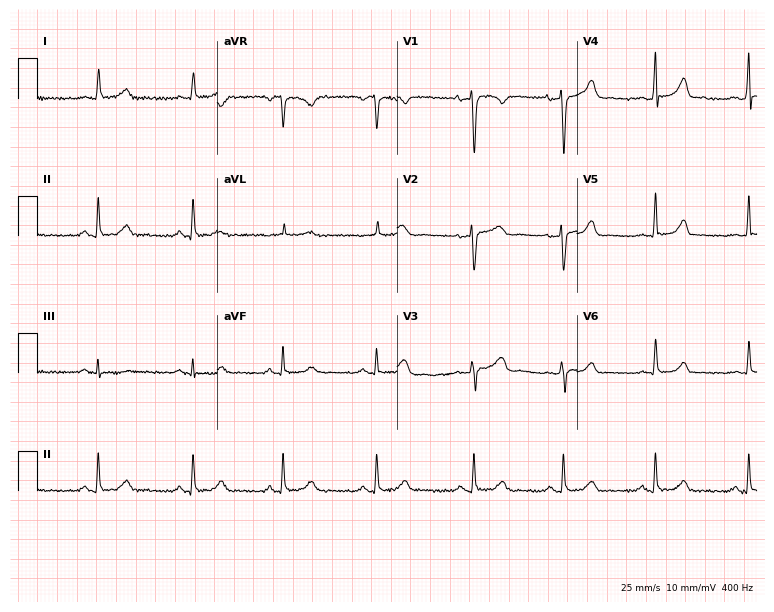
Standard 12-lead ECG recorded from a 40-year-old female. None of these six findings is recorded: first-degree AV block, right bundle branch block, left bundle branch block, sinus bradycardia, atrial fibrillation, sinus tachycardia.